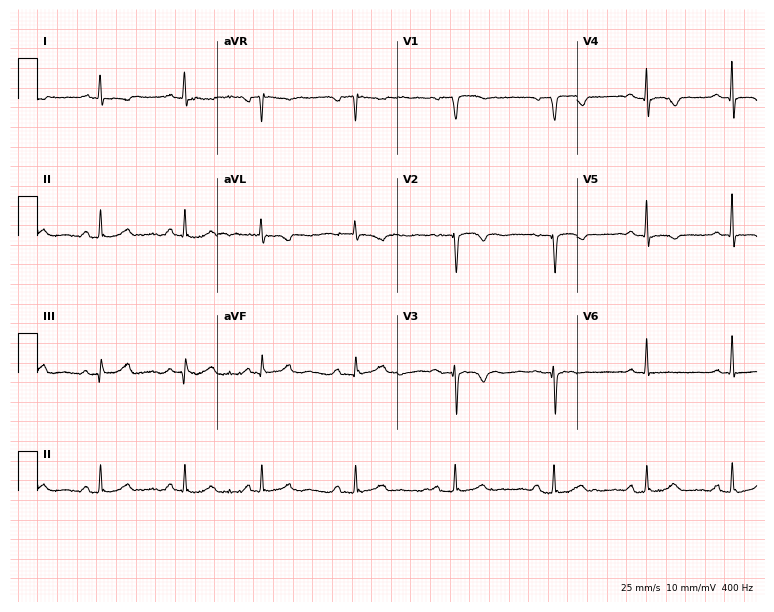
ECG (7.3-second recording at 400 Hz) — a 74-year-old female patient. Labelled as a normal ECG.